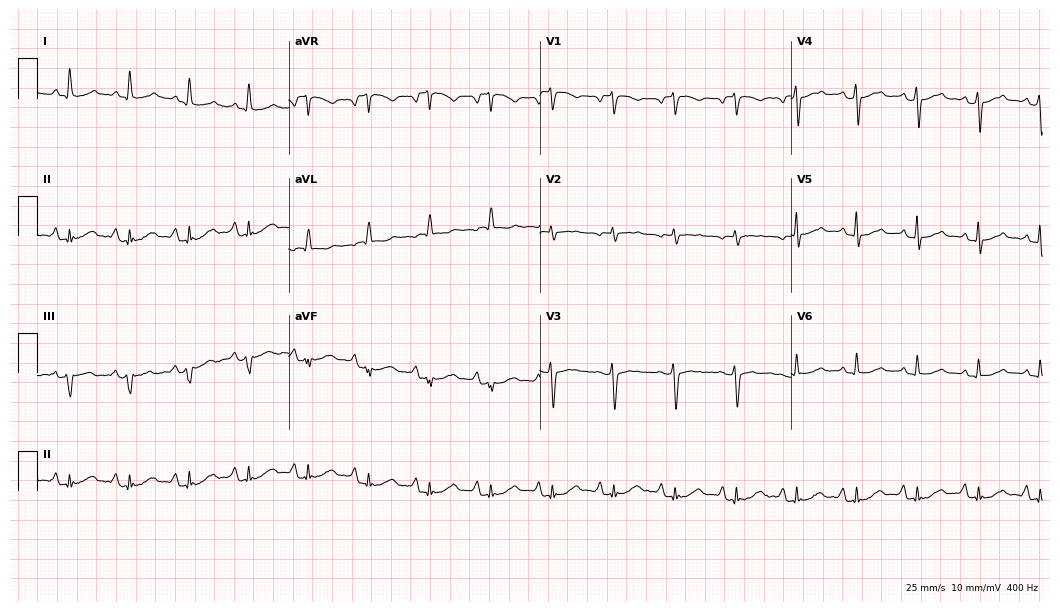
Resting 12-lead electrocardiogram (10.2-second recording at 400 Hz). Patient: a 69-year-old female. Read as a normal ECG.